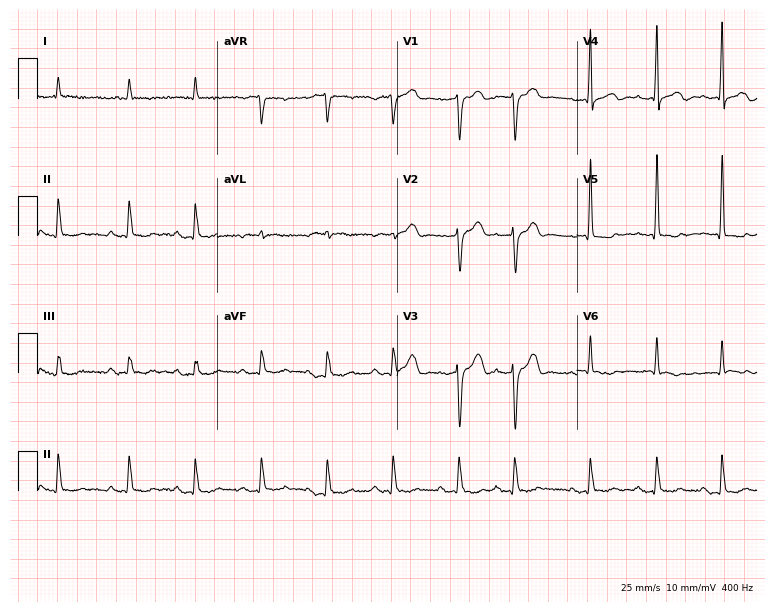
Electrocardiogram, a man, 81 years old. Of the six screened findings (first-degree AV block, right bundle branch block, left bundle branch block, sinus bradycardia, atrial fibrillation, sinus tachycardia), none is recorded.